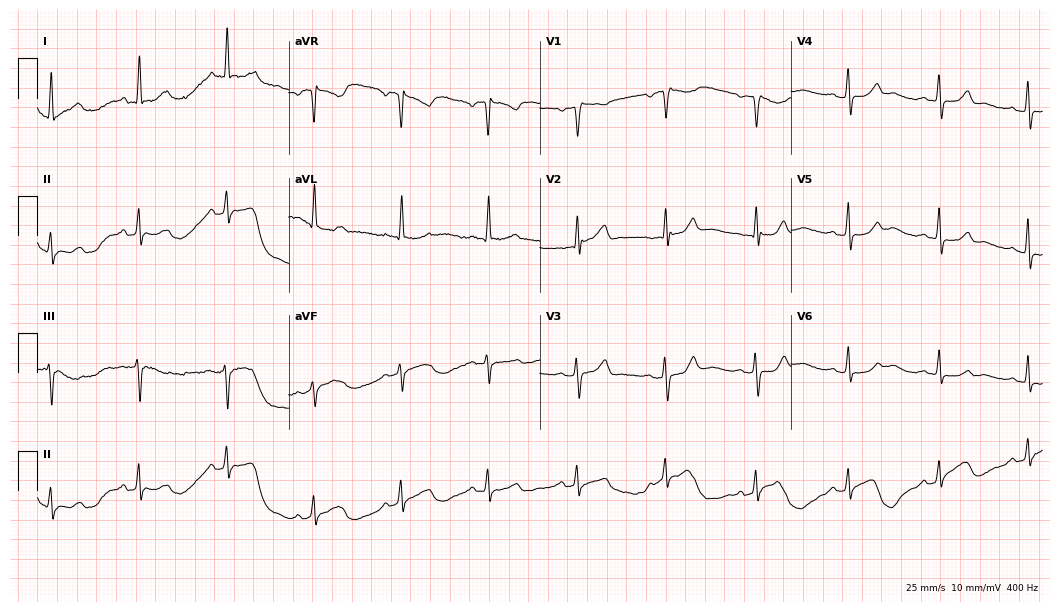
12-lead ECG from a 59-year-old female. Screened for six findings — first-degree AV block, right bundle branch block, left bundle branch block, sinus bradycardia, atrial fibrillation, sinus tachycardia — none is recorded. Other findings, if any, are not listed.